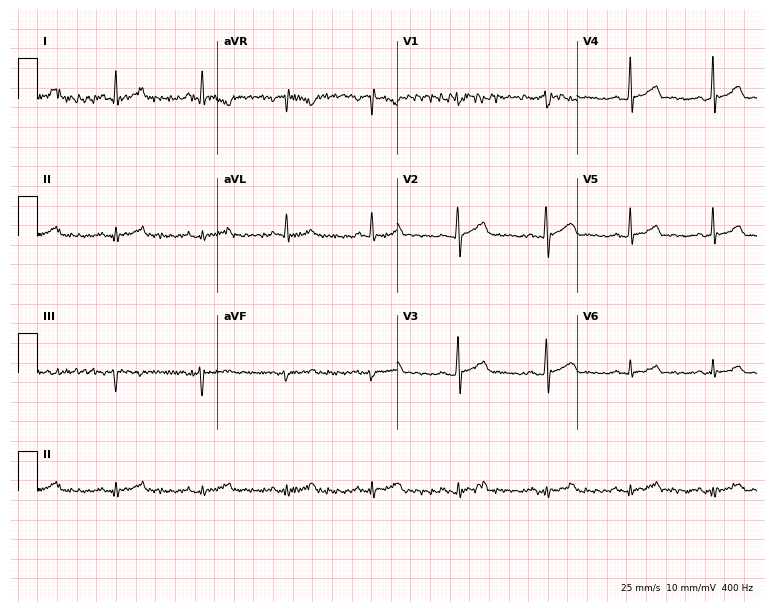
ECG (7.3-second recording at 400 Hz) — a 52-year-old male. Labelled as a normal ECG.